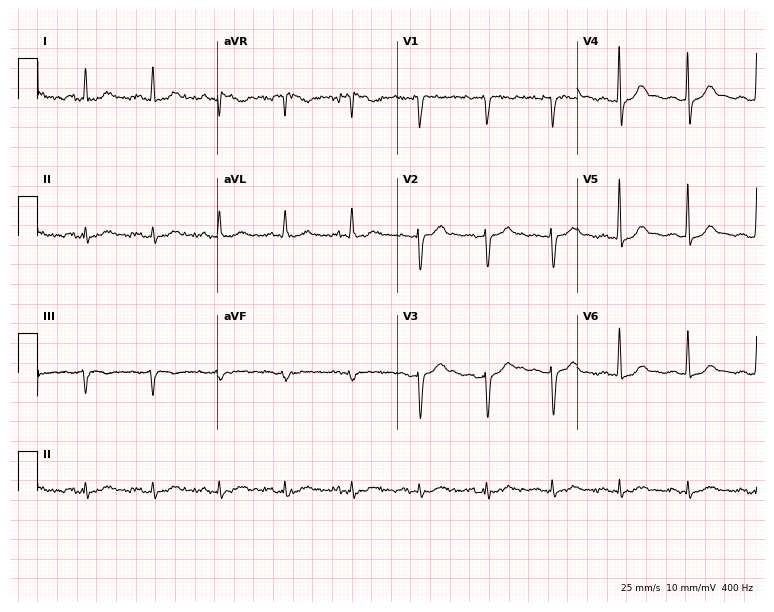
12-lead ECG (7.3-second recording at 400 Hz) from a male, 62 years old. Screened for six findings — first-degree AV block, right bundle branch block, left bundle branch block, sinus bradycardia, atrial fibrillation, sinus tachycardia — none is recorded.